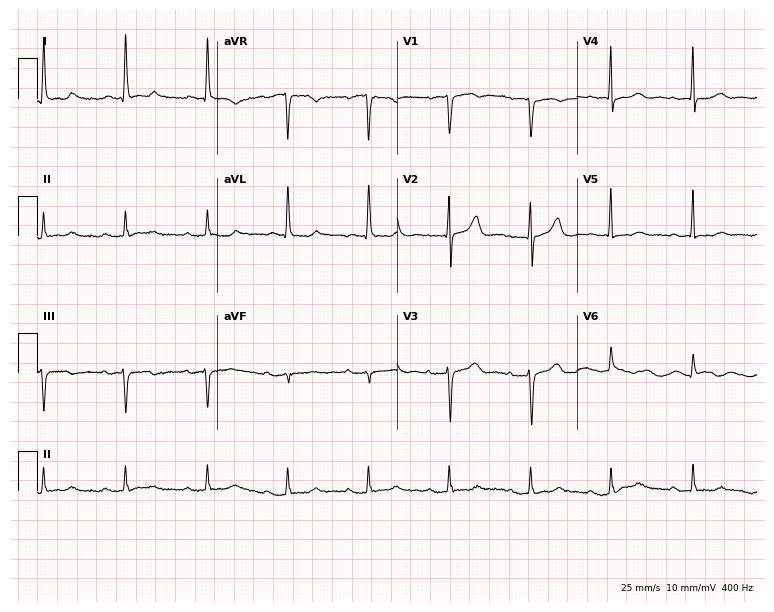
Electrocardiogram, an 83-year-old woman. Overall reading on record: normal ECG.